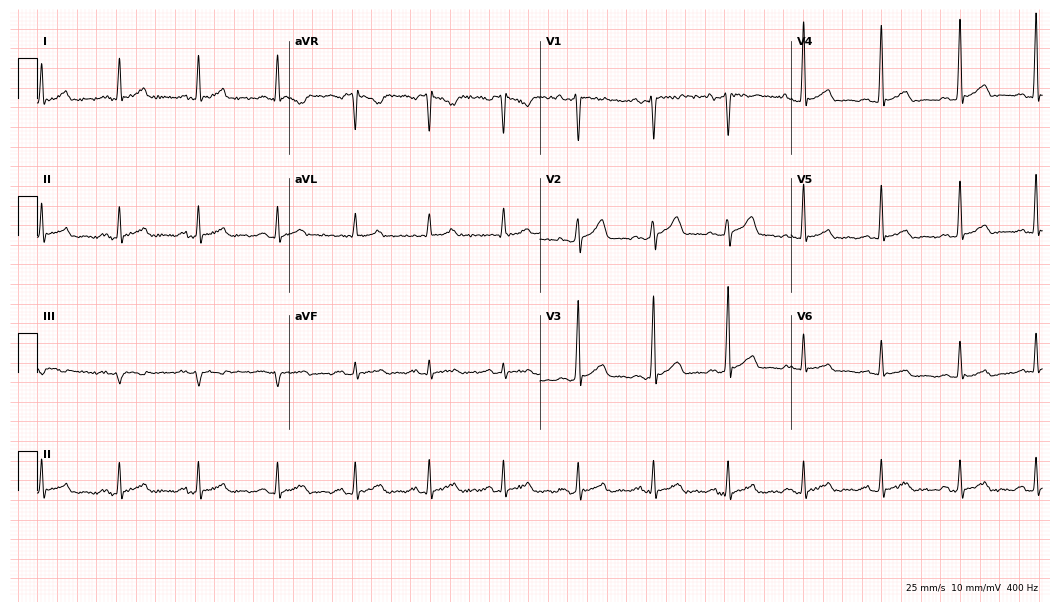
12-lead ECG from a 44-year-old man. Recorded interpretation: within normal limits.